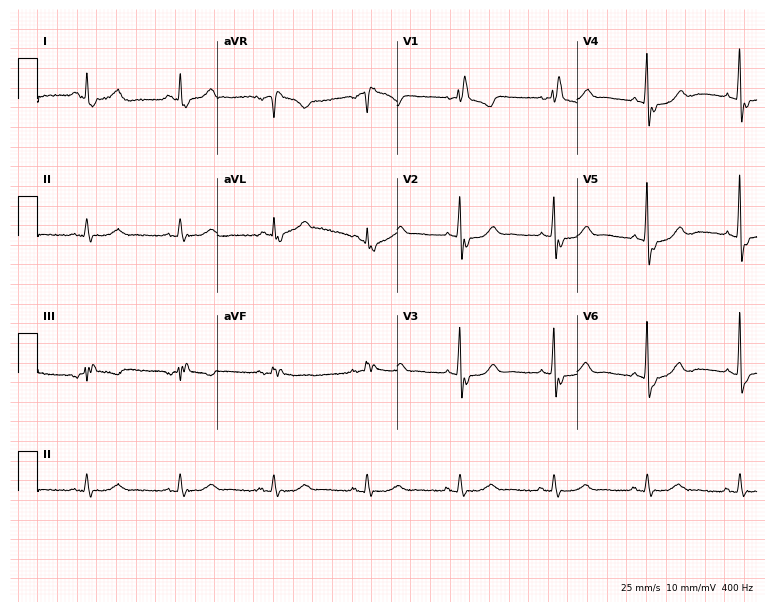
Resting 12-lead electrocardiogram. Patient: a male, 87 years old. The tracing shows right bundle branch block.